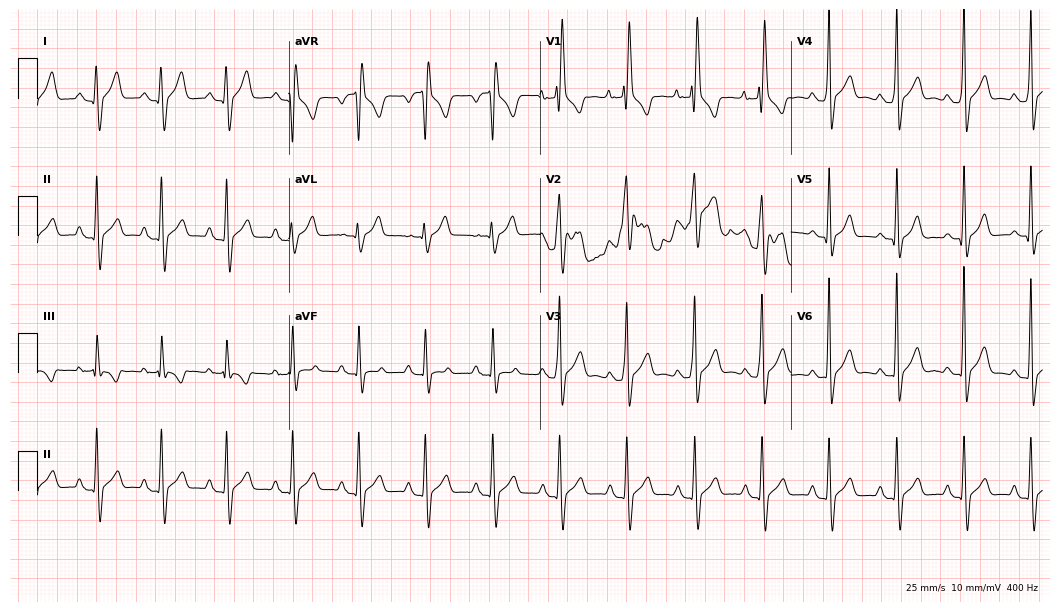
12-lead ECG from a male patient, 25 years old. No first-degree AV block, right bundle branch block (RBBB), left bundle branch block (LBBB), sinus bradycardia, atrial fibrillation (AF) or sinus tachycardia recorded for this tracing.